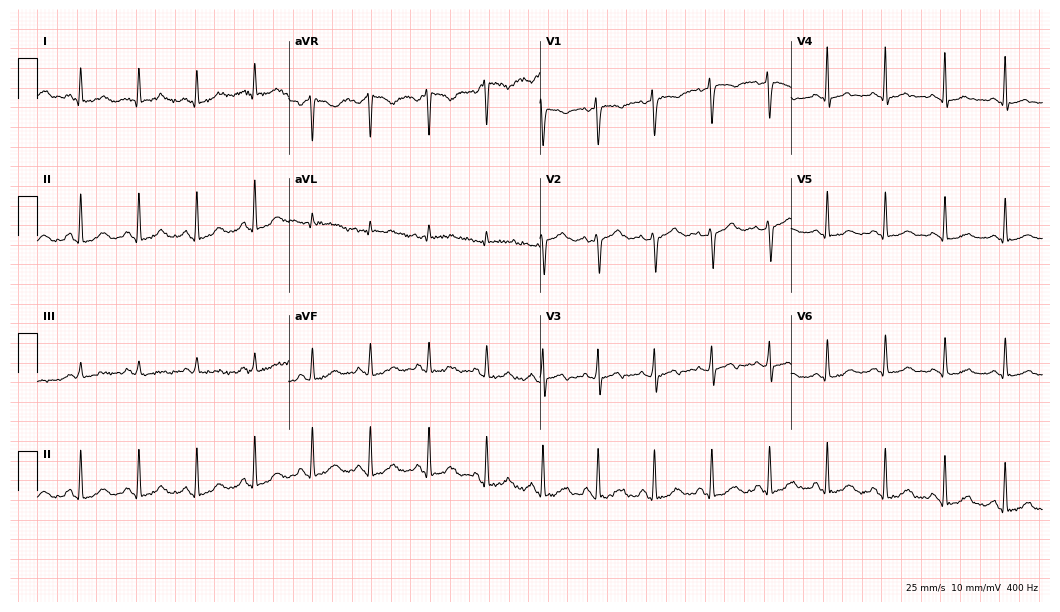
12-lead ECG from a 40-year-old female patient. Shows sinus tachycardia (a sinus rate of 100 beats per minute or more).